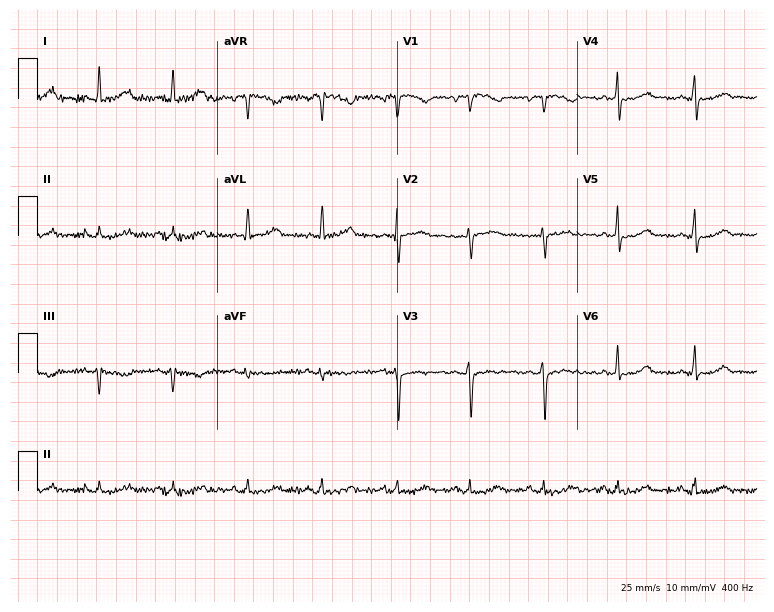
ECG — a female patient, 47 years old. Screened for six findings — first-degree AV block, right bundle branch block, left bundle branch block, sinus bradycardia, atrial fibrillation, sinus tachycardia — none is recorded.